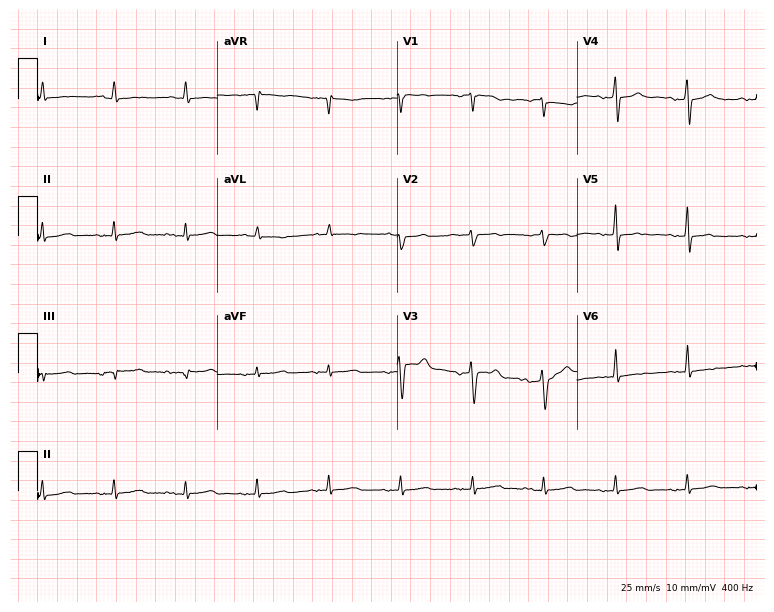
Standard 12-lead ECG recorded from a 67-year-old man. None of these six findings is recorded: first-degree AV block, right bundle branch block (RBBB), left bundle branch block (LBBB), sinus bradycardia, atrial fibrillation (AF), sinus tachycardia.